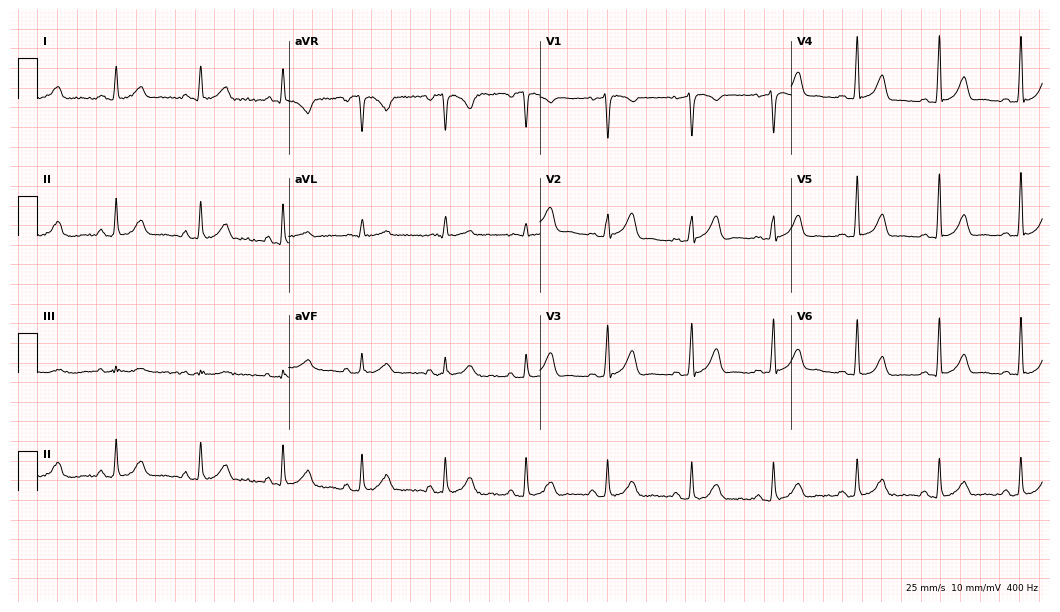
12-lead ECG from a woman, 44 years old (10.2-second recording at 400 Hz). Recorded interpretation: within normal limits.